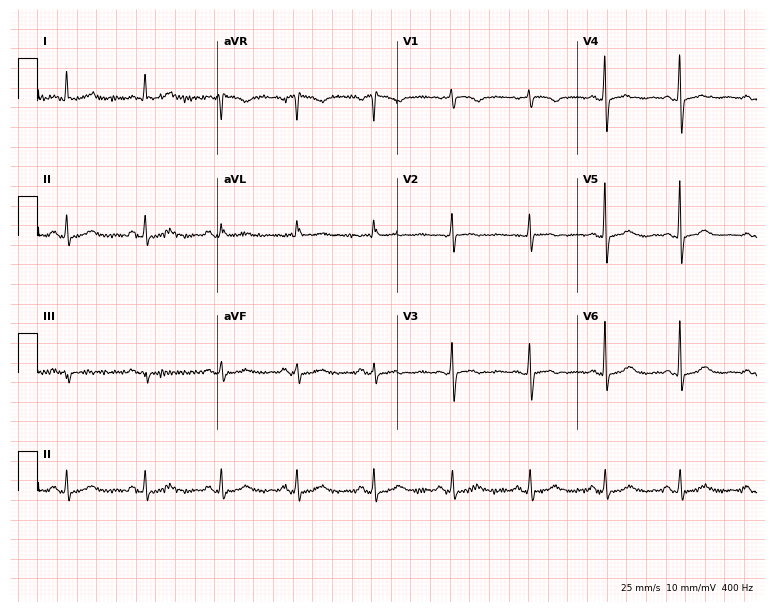
12-lead ECG from a female, 77 years old. Screened for six findings — first-degree AV block, right bundle branch block, left bundle branch block, sinus bradycardia, atrial fibrillation, sinus tachycardia — none is recorded.